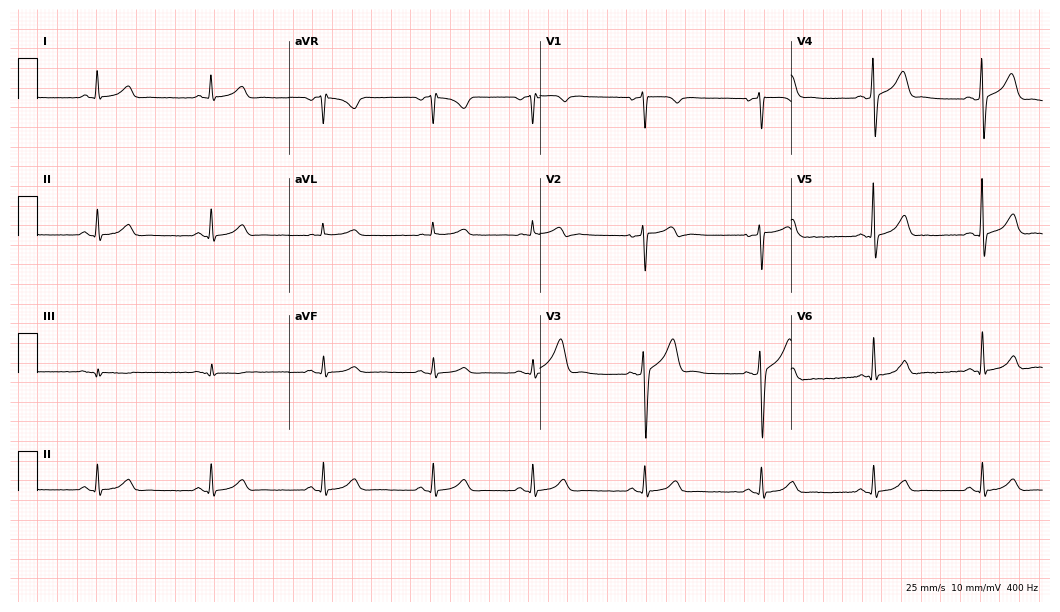
Standard 12-lead ECG recorded from a 47-year-old male patient (10.2-second recording at 400 Hz). None of these six findings is recorded: first-degree AV block, right bundle branch block, left bundle branch block, sinus bradycardia, atrial fibrillation, sinus tachycardia. Other findings, if any, are not listed.